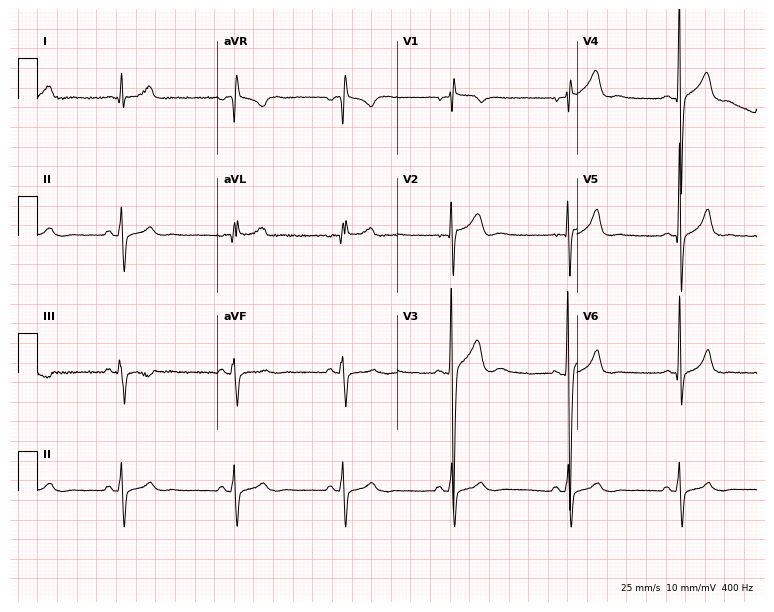
Standard 12-lead ECG recorded from a male, 18 years old. None of these six findings is recorded: first-degree AV block, right bundle branch block (RBBB), left bundle branch block (LBBB), sinus bradycardia, atrial fibrillation (AF), sinus tachycardia.